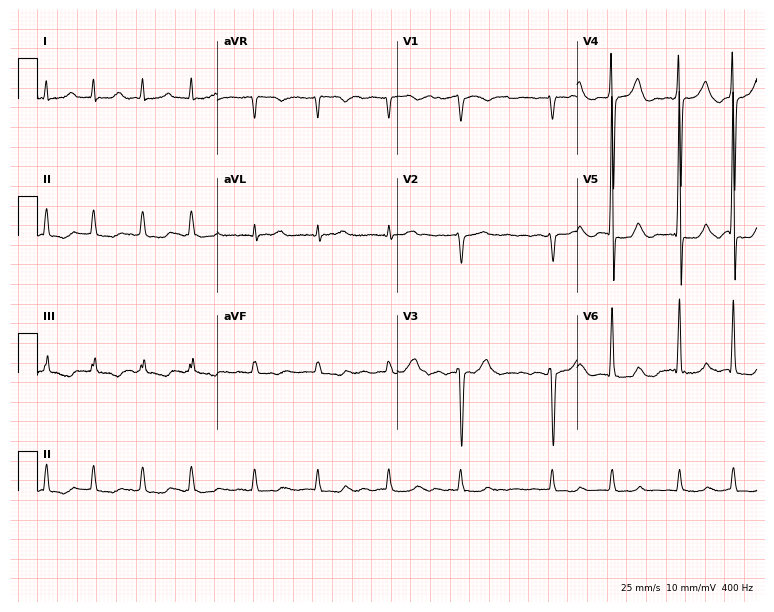
Resting 12-lead electrocardiogram. Patient: an 80-year-old man. The tracing shows atrial fibrillation.